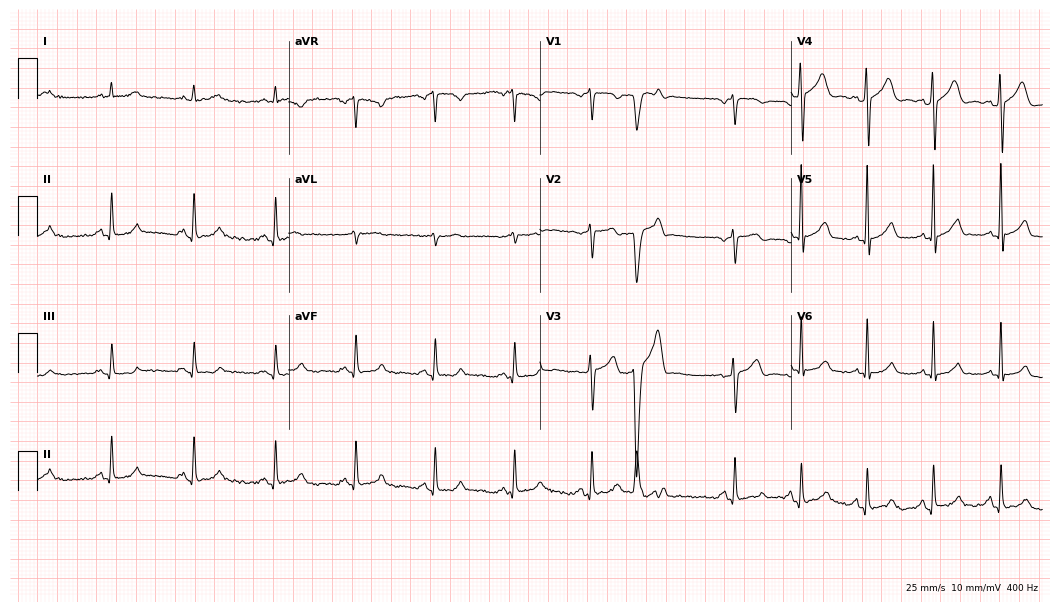
12-lead ECG (10.2-second recording at 400 Hz) from a 54-year-old male. Labelled as a normal ECG.